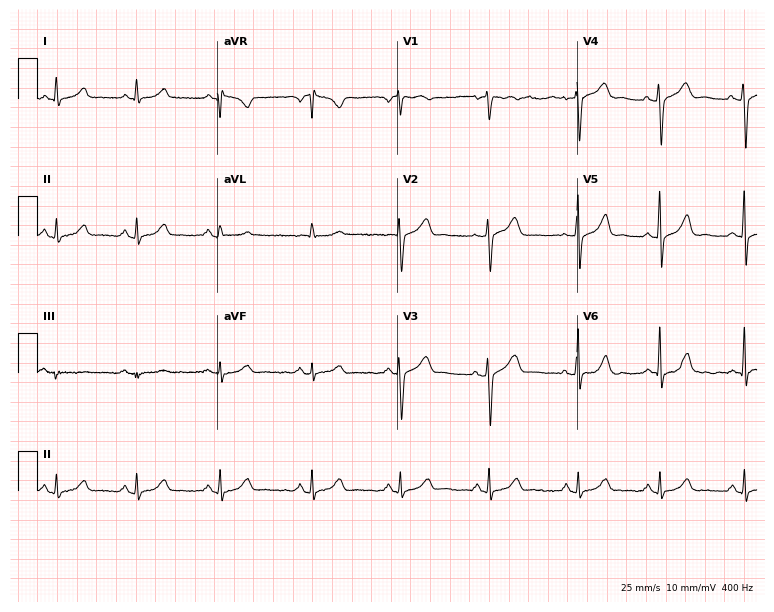
12-lead ECG (7.3-second recording at 400 Hz) from a female patient, 48 years old. Screened for six findings — first-degree AV block, right bundle branch block, left bundle branch block, sinus bradycardia, atrial fibrillation, sinus tachycardia — none is recorded.